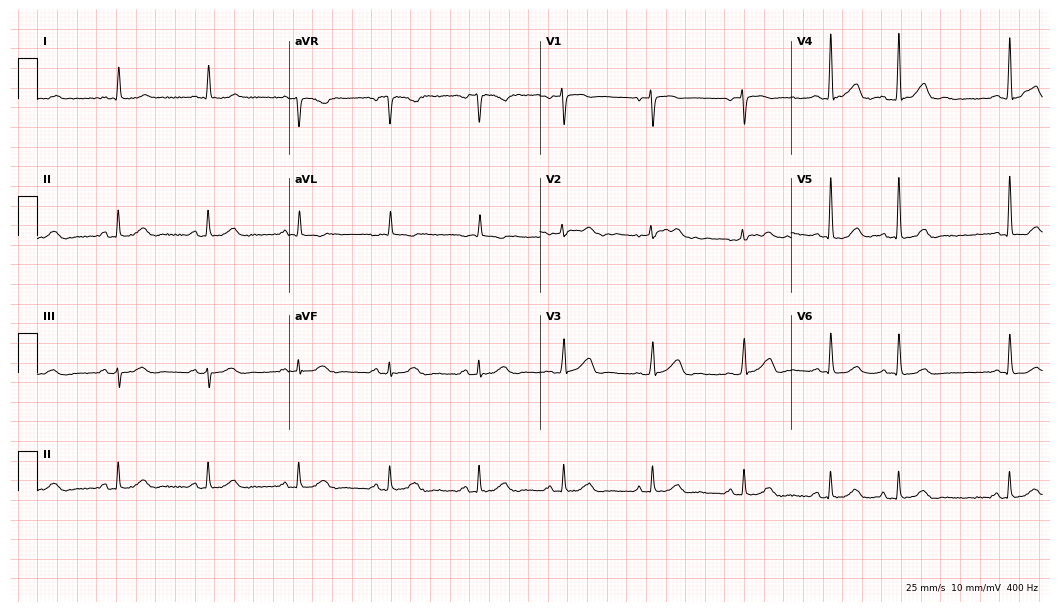
ECG — a woman, 85 years old. Screened for six findings — first-degree AV block, right bundle branch block, left bundle branch block, sinus bradycardia, atrial fibrillation, sinus tachycardia — none is recorded. Other findings, if any, are not listed.